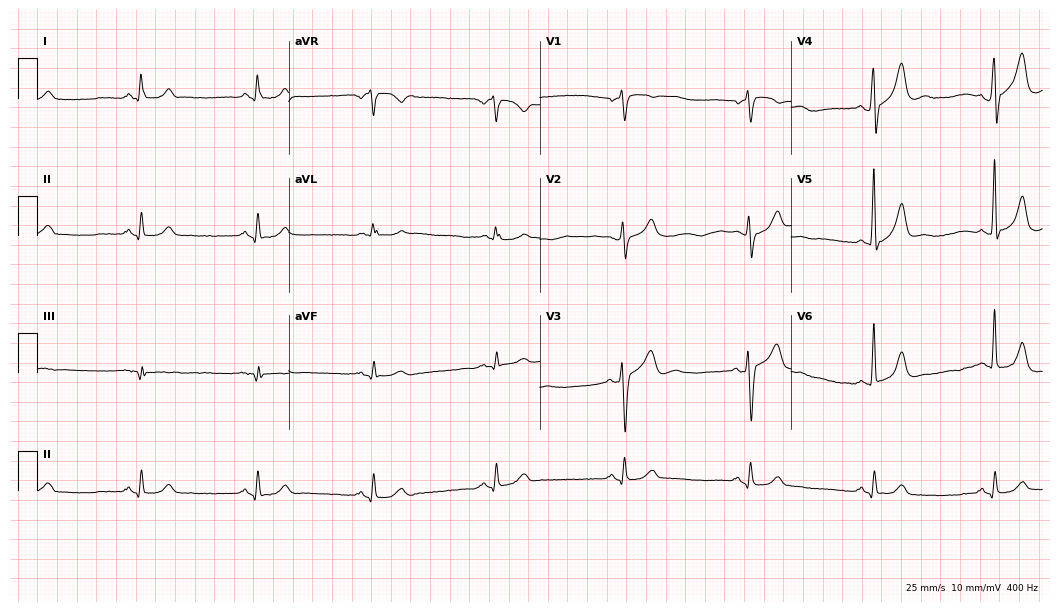
12-lead ECG from a male patient, 58 years old. Recorded interpretation: within normal limits.